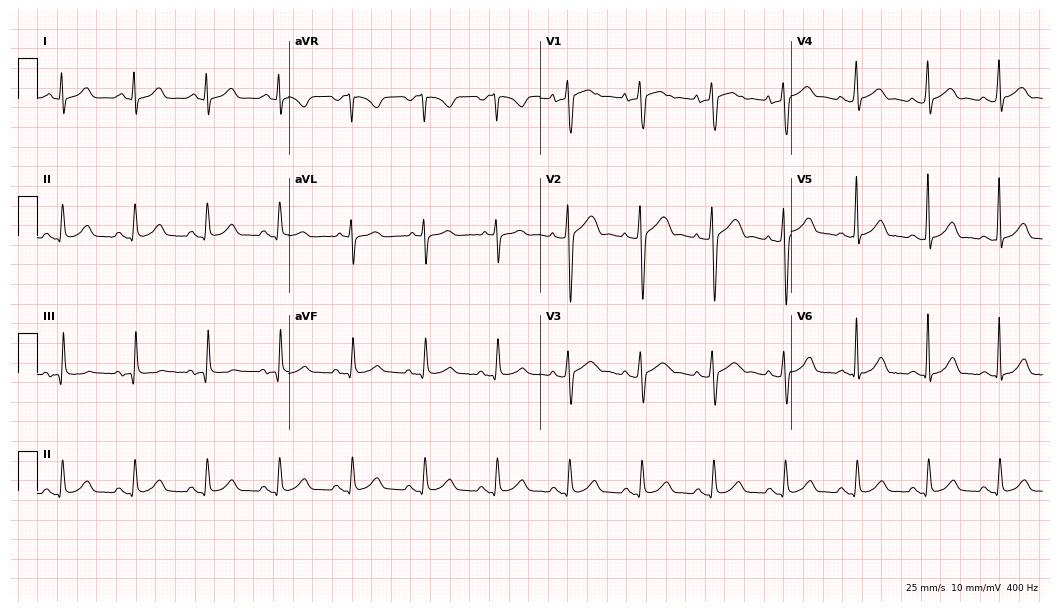
Resting 12-lead electrocardiogram. Patient: a 49-year-old male. Read as a normal ECG.